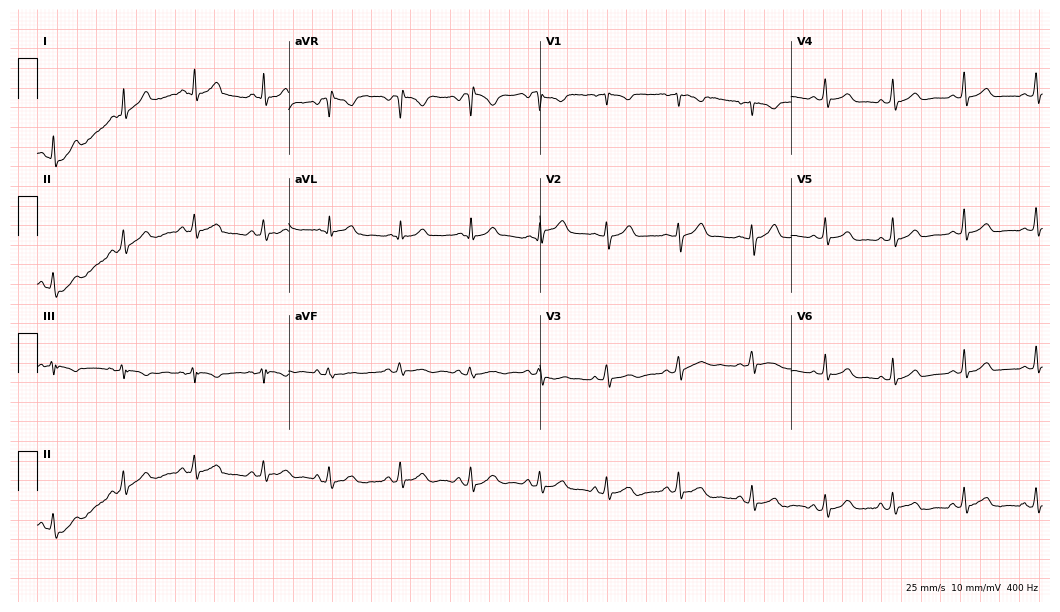
12-lead ECG from a 27-year-old female patient. No first-degree AV block, right bundle branch block (RBBB), left bundle branch block (LBBB), sinus bradycardia, atrial fibrillation (AF) or sinus tachycardia recorded for this tracing. Only these six findings were labelled.